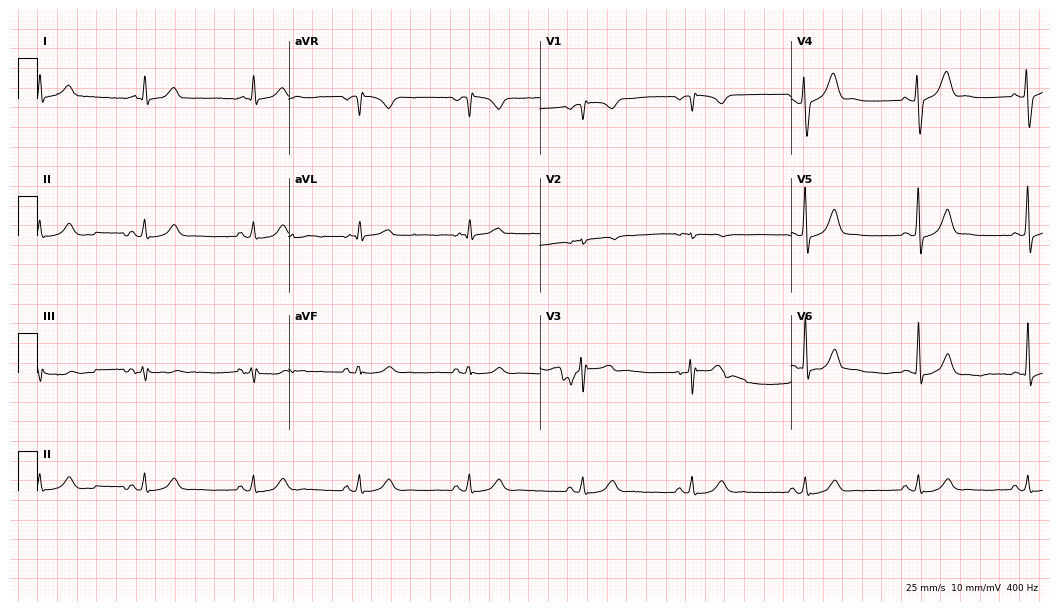
Standard 12-lead ECG recorded from a male, 55 years old (10.2-second recording at 400 Hz). None of these six findings is recorded: first-degree AV block, right bundle branch block, left bundle branch block, sinus bradycardia, atrial fibrillation, sinus tachycardia. Findings outside these six are not listed.